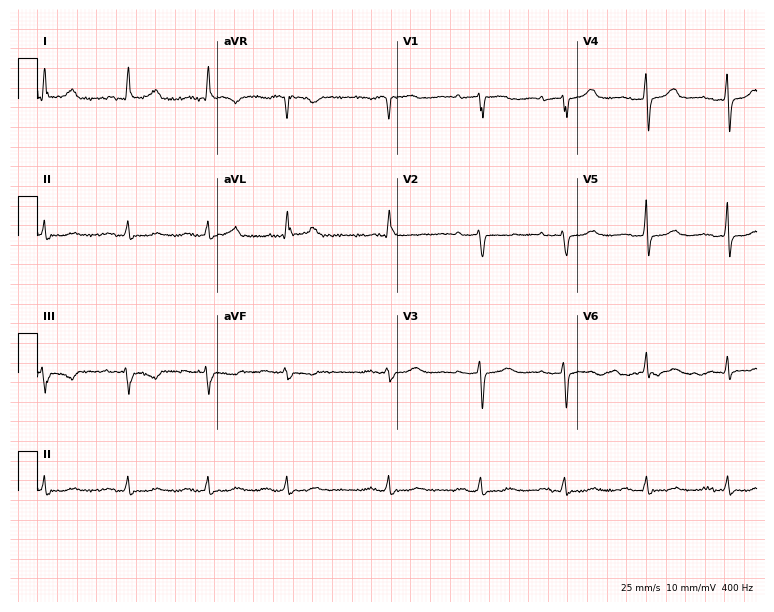
12-lead ECG (7.3-second recording at 400 Hz) from a female patient, 76 years old. Screened for six findings — first-degree AV block, right bundle branch block, left bundle branch block, sinus bradycardia, atrial fibrillation, sinus tachycardia — none is recorded.